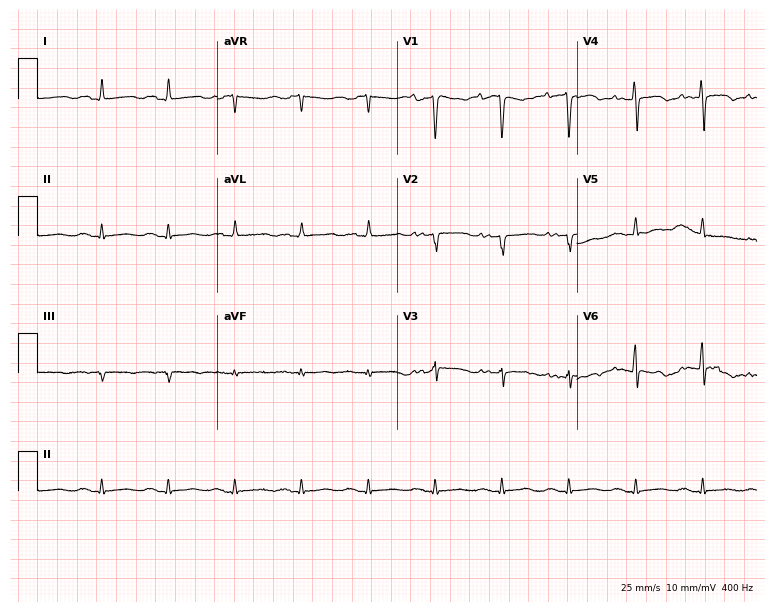
ECG (7.3-second recording at 400 Hz) — a male, 61 years old. Screened for six findings — first-degree AV block, right bundle branch block, left bundle branch block, sinus bradycardia, atrial fibrillation, sinus tachycardia — none is recorded. Only these six findings were labelled.